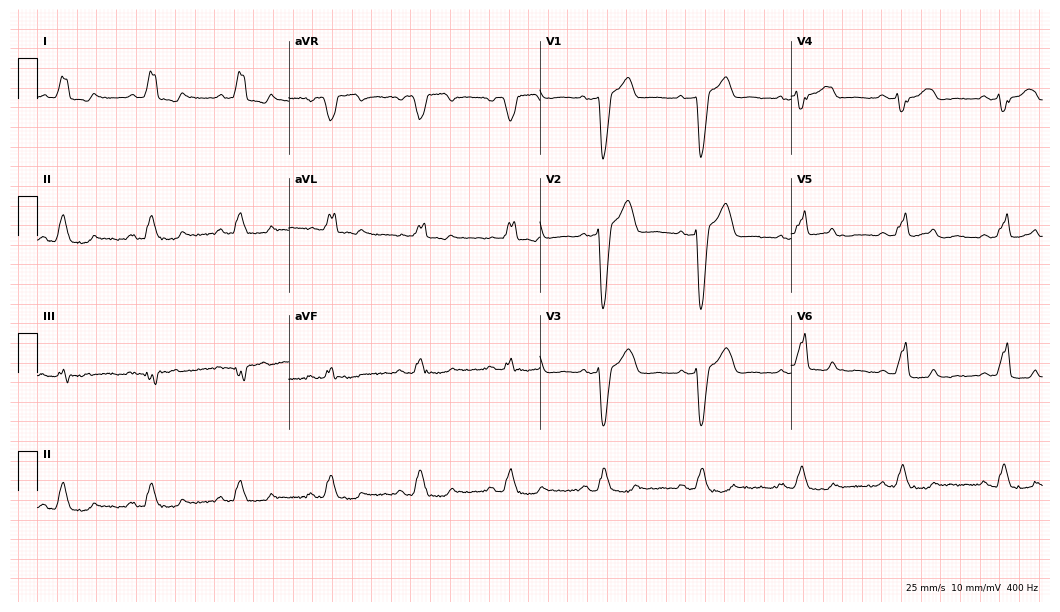
Resting 12-lead electrocardiogram (10.2-second recording at 400 Hz). Patient: a 69-year-old man. The tracing shows left bundle branch block (LBBB).